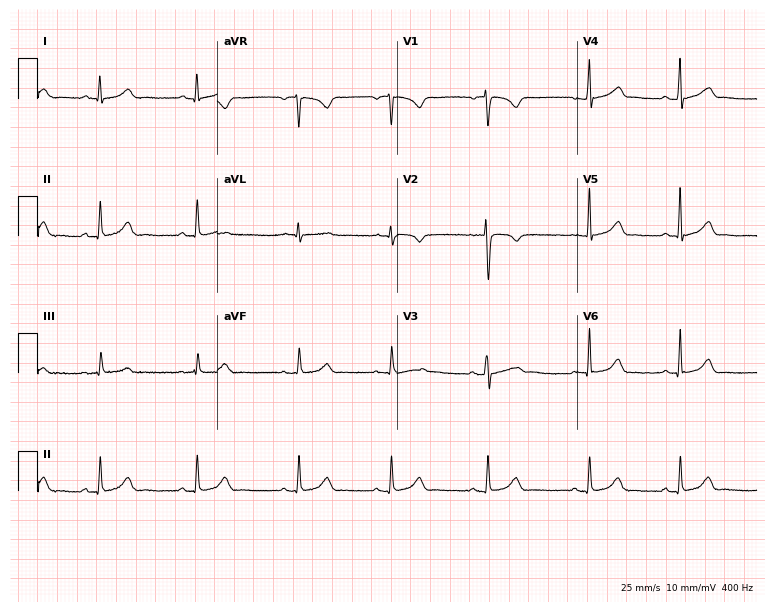
Standard 12-lead ECG recorded from a 25-year-old female patient (7.3-second recording at 400 Hz). Read as a normal ECG.